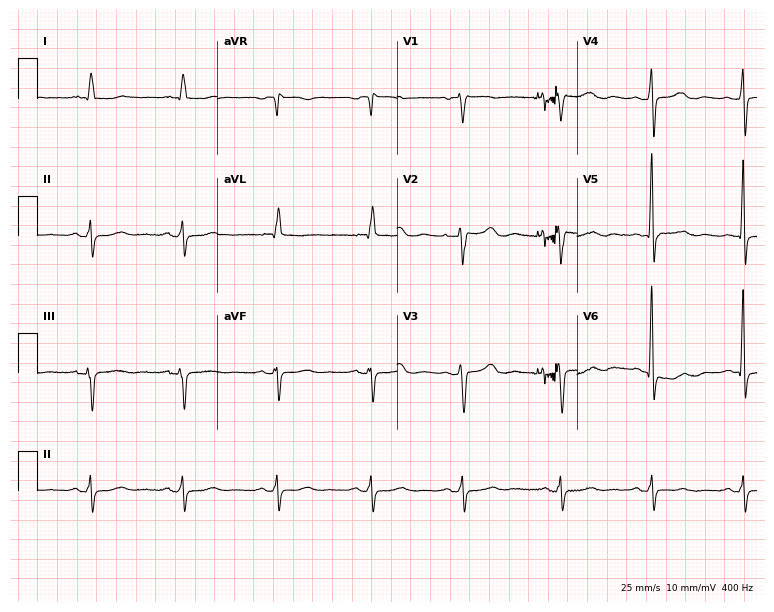
ECG — an 82-year-old female. Labelled as a normal ECG.